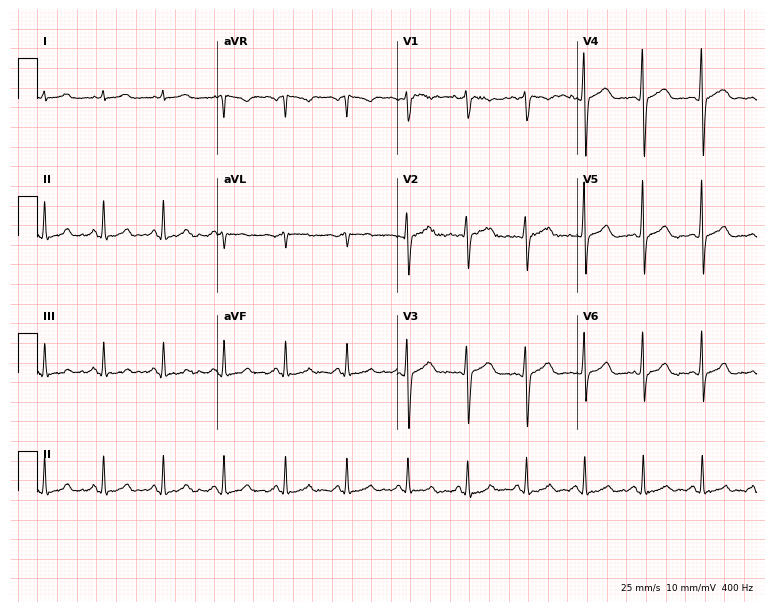
12-lead ECG from a 29-year-old female patient (7.3-second recording at 400 Hz). Recorded interpretation: within normal limits.